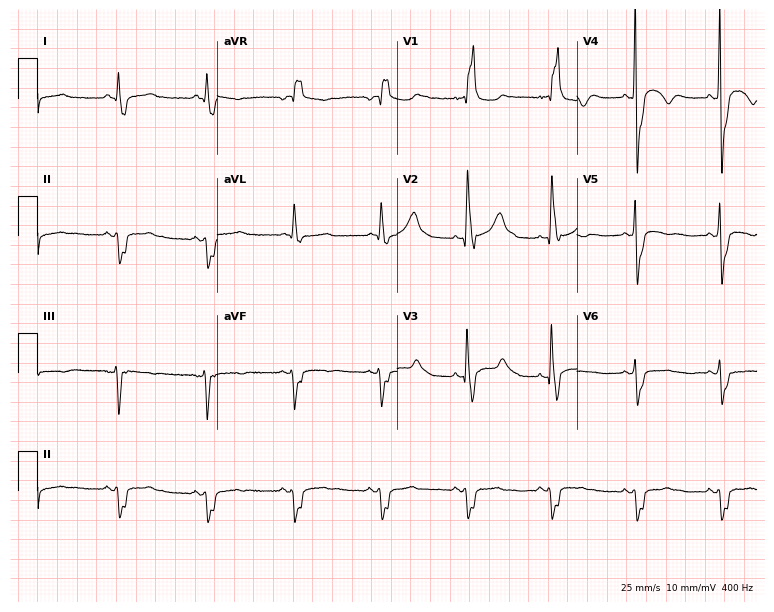
Electrocardiogram, a 43-year-old man. Interpretation includes right bundle branch block (RBBB).